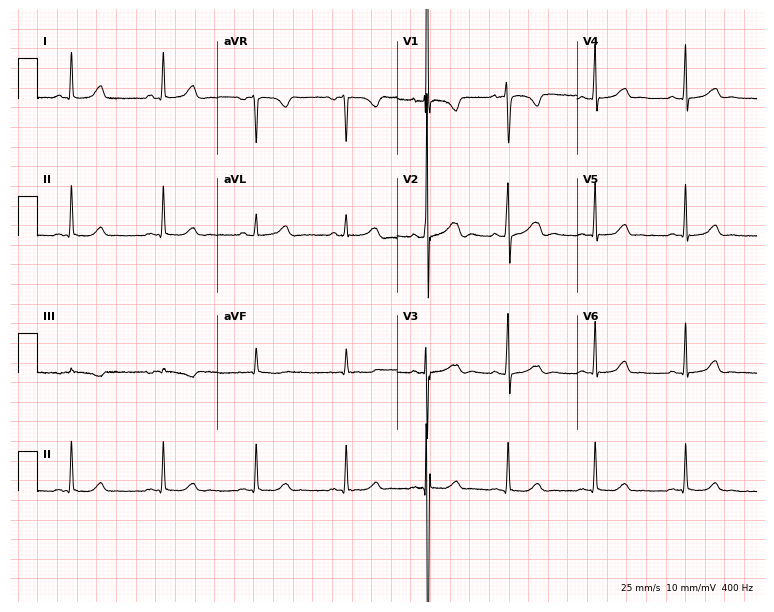
12-lead ECG from a female, 18 years old. Recorded interpretation: within normal limits.